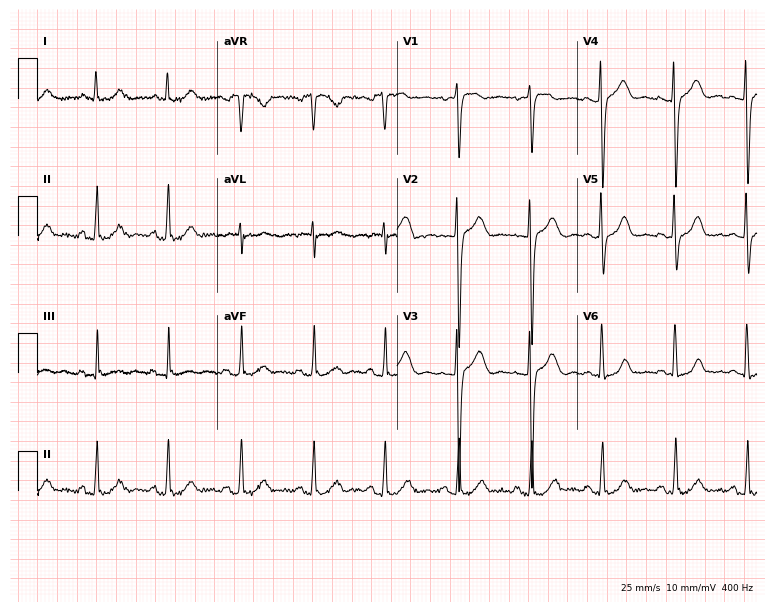
Resting 12-lead electrocardiogram. Patient: a woman, 61 years old. Read as a normal ECG.